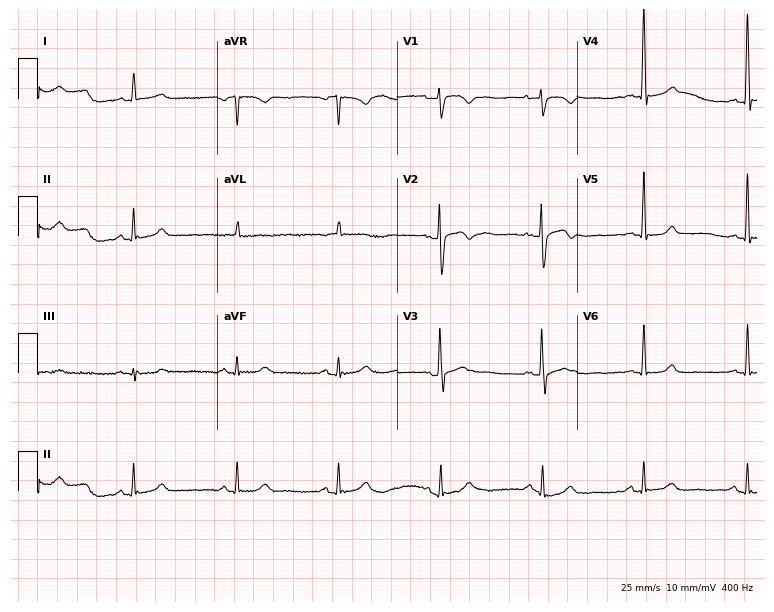
ECG — a female, 66 years old. Screened for six findings — first-degree AV block, right bundle branch block, left bundle branch block, sinus bradycardia, atrial fibrillation, sinus tachycardia — none is recorded.